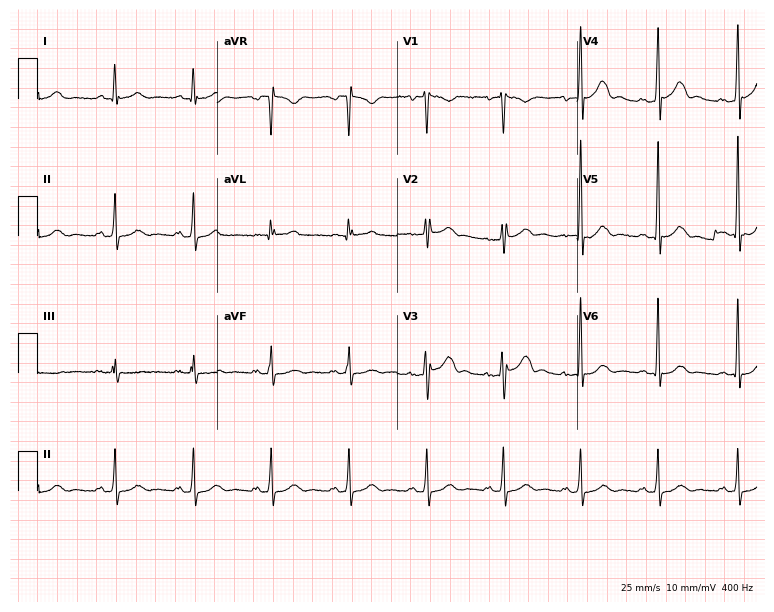
Electrocardiogram (7.3-second recording at 400 Hz), a 37-year-old male patient. Overall reading on record: normal ECG.